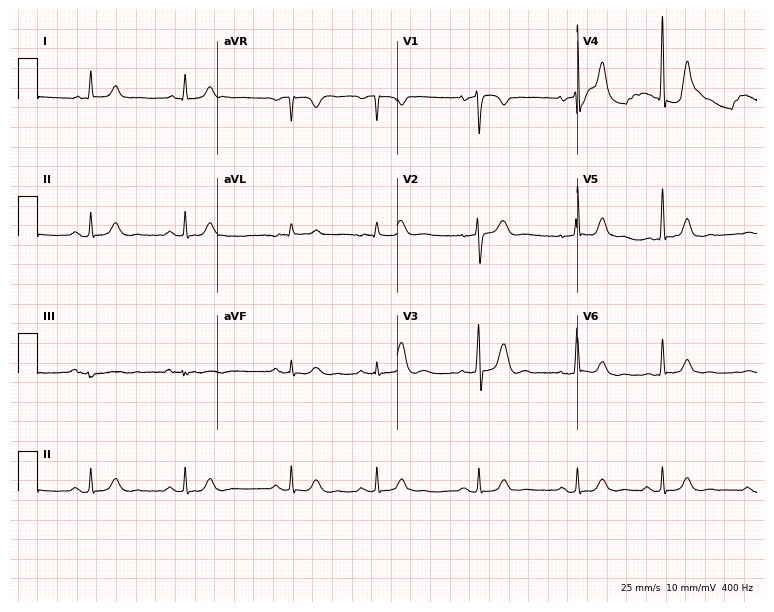
Standard 12-lead ECG recorded from a man, 59 years old (7.3-second recording at 400 Hz). Read as a normal ECG.